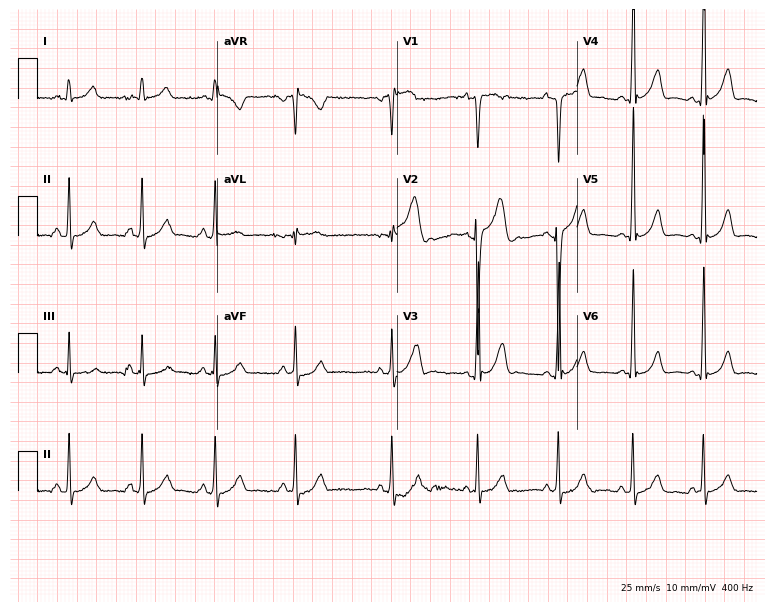
Standard 12-lead ECG recorded from a 20-year-old male patient. Read as a normal ECG.